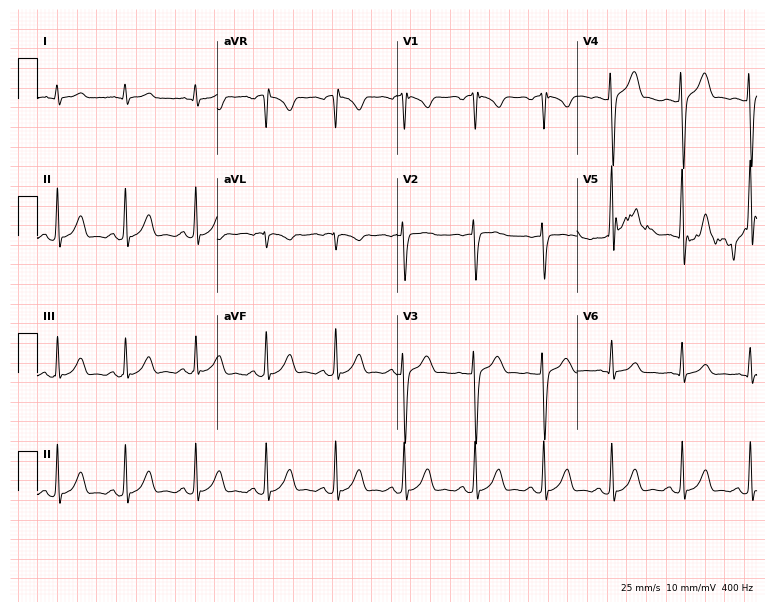
Standard 12-lead ECG recorded from a 23-year-old male patient. None of these six findings is recorded: first-degree AV block, right bundle branch block (RBBB), left bundle branch block (LBBB), sinus bradycardia, atrial fibrillation (AF), sinus tachycardia. Findings outside these six are not listed.